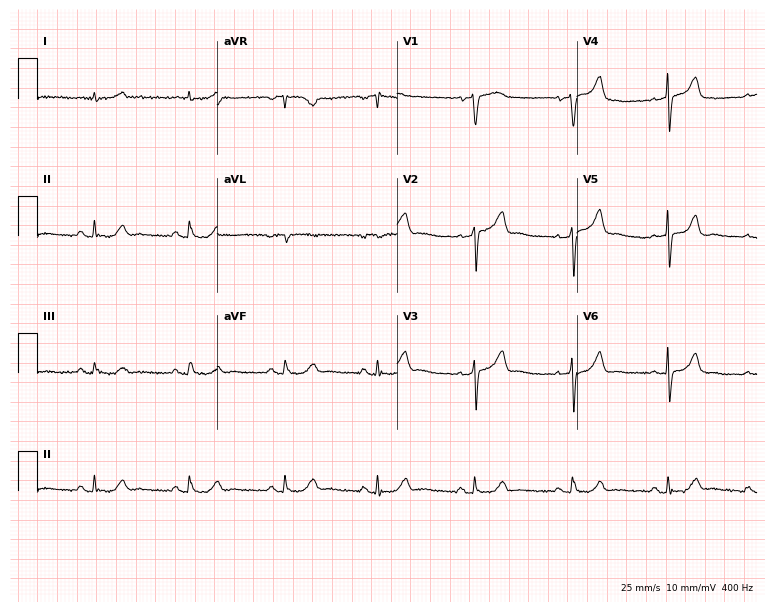
12-lead ECG (7.3-second recording at 400 Hz) from a male patient, 71 years old. Screened for six findings — first-degree AV block, right bundle branch block, left bundle branch block, sinus bradycardia, atrial fibrillation, sinus tachycardia — none is recorded. Findings outside these six are not listed.